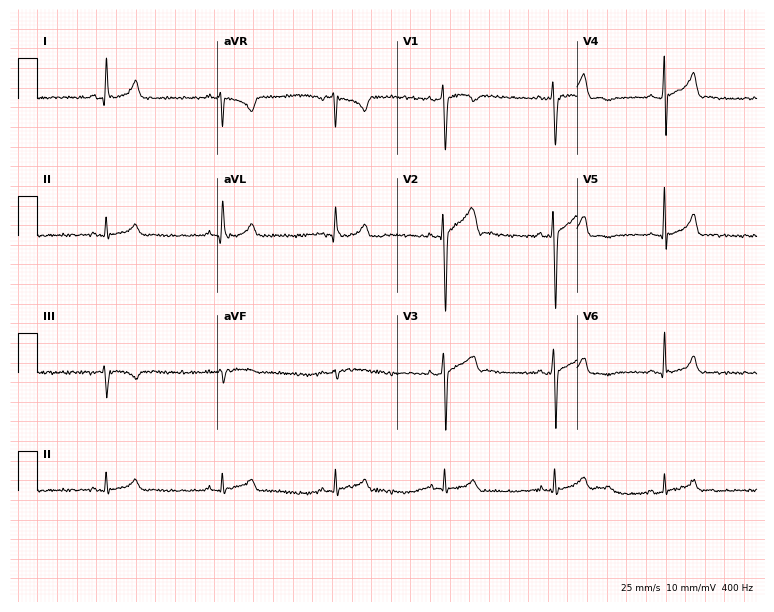
ECG — a 40-year-old man. Labelled as a normal ECG.